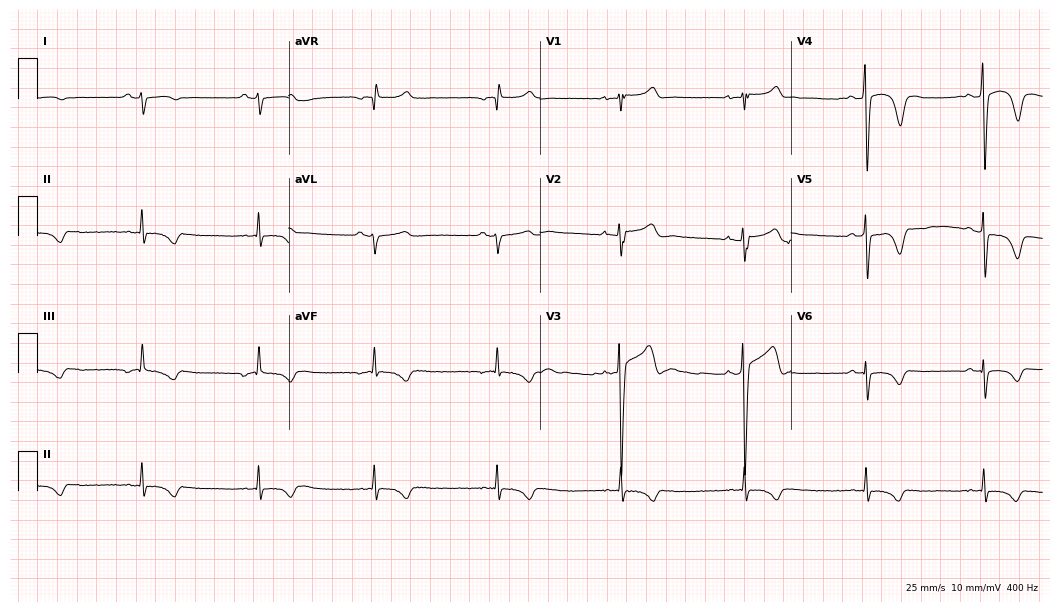
ECG — a male patient, 21 years old. Screened for six findings — first-degree AV block, right bundle branch block, left bundle branch block, sinus bradycardia, atrial fibrillation, sinus tachycardia — none is recorded.